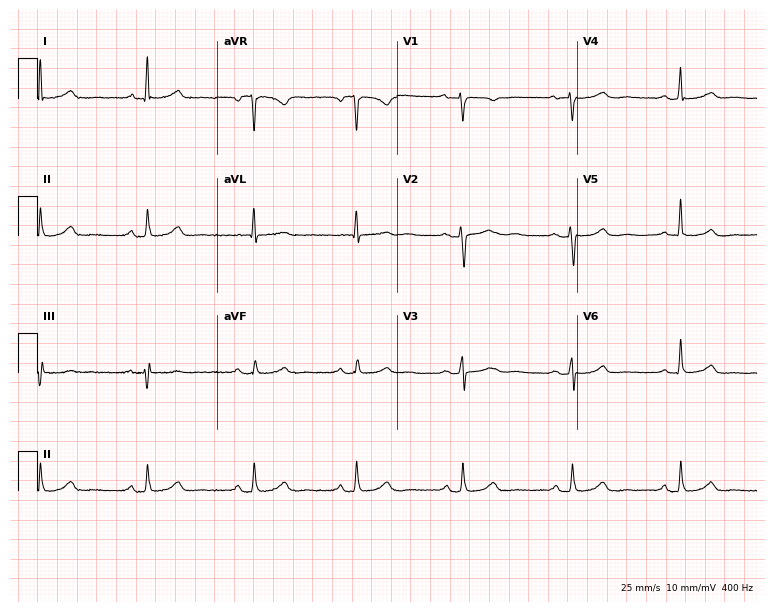
Electrocardiogram (7.3-second recording at 400 Hz), a female, 62 years old. Overall reading on record: normal ECG.